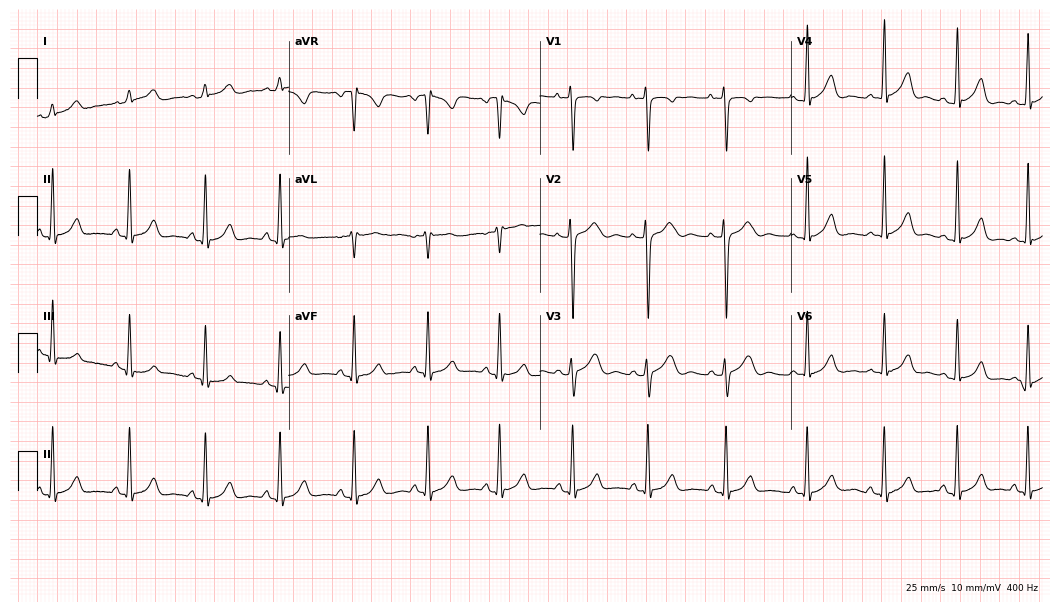
ECG — a 53-year-old female patient. Labelled as a normal ECG.